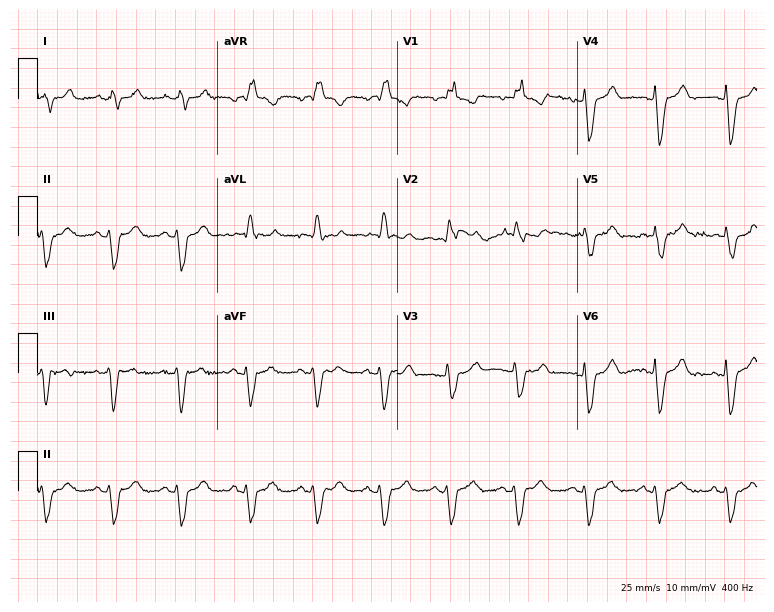
12-lead ECG from a 78-year-old male patient. Shows right bundle branch block.